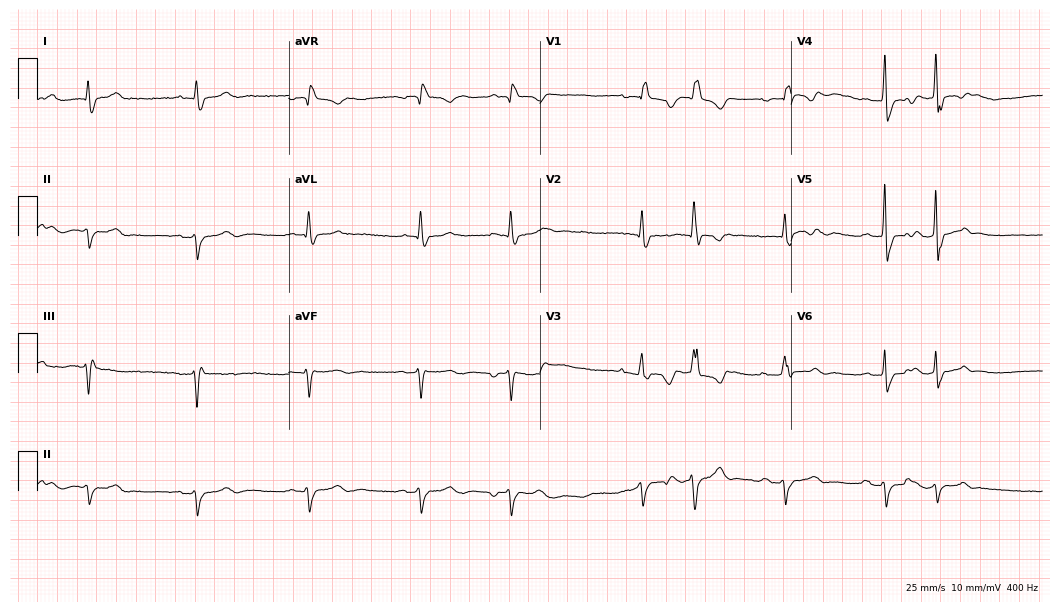
ECG (10.2-second recording at 400 Hz) — a 66-year-old man. Findings include right bundle branch block (RBBB).